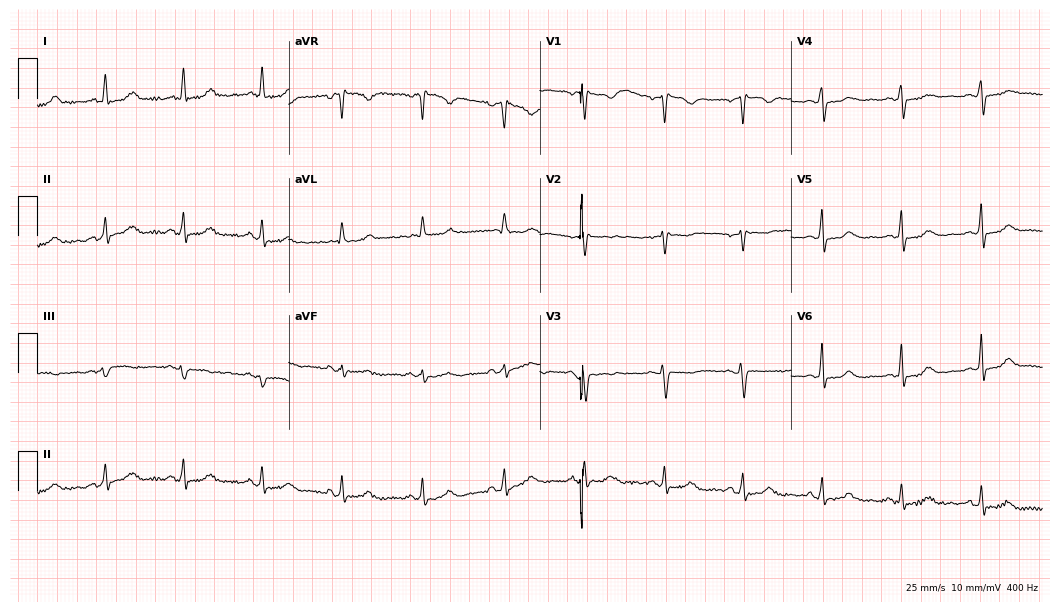
12-lead ECG from a female patient, 41 years old. Recorded interpretation: within normal limits.